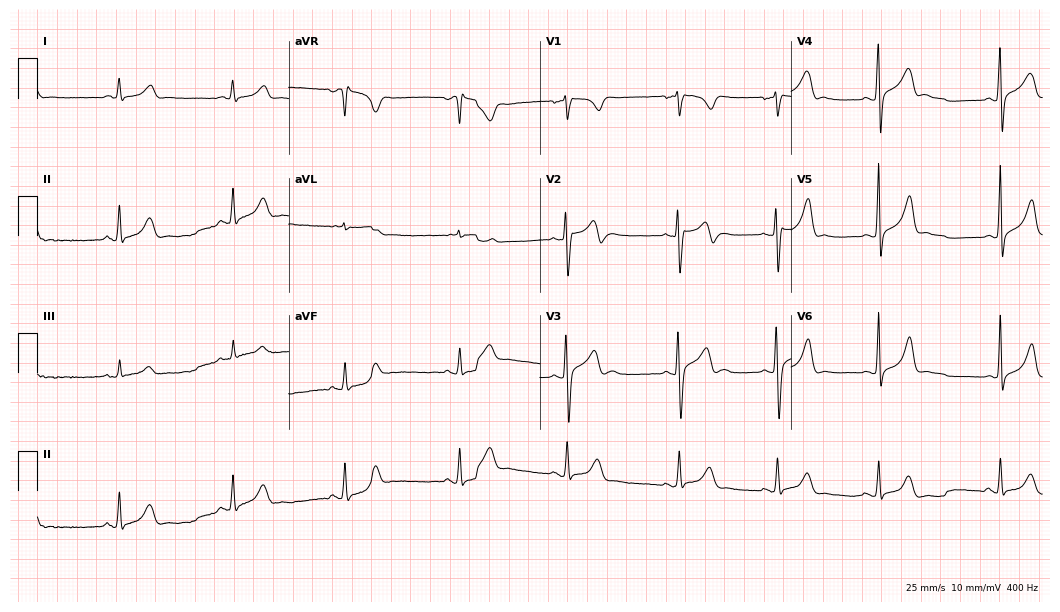
Standard 12-lead ECG recorded from a 21-year-old man. Read as a normal ECG.